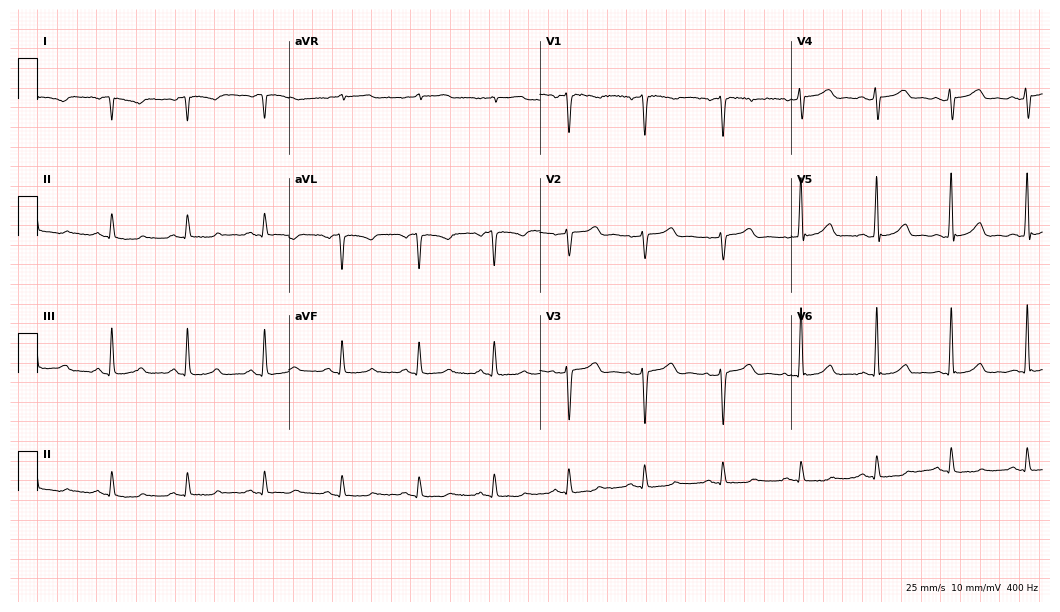
12-lead ECG from a 49-year-old female patient. No first-degree AV block, right bundle branch block (RBBB), left bundle branch block (LBBB), sinus bradycardia, atrial fibrillation (AF) or sinus tachycardia recorded for this tracing.